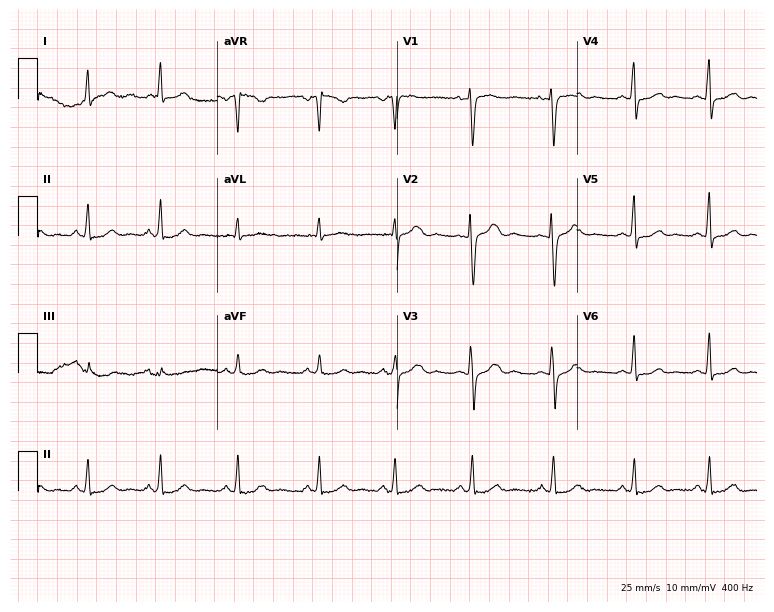
Standard 12-lead ECG recorded from a 39-year-old female. None of these six findings is recorded: first-degree AV block, right bundle branch block (RBBB), left bundle branch block (LBBB), sinus bradycardia, atrial fibrillation (AF), sinus tachycardia.